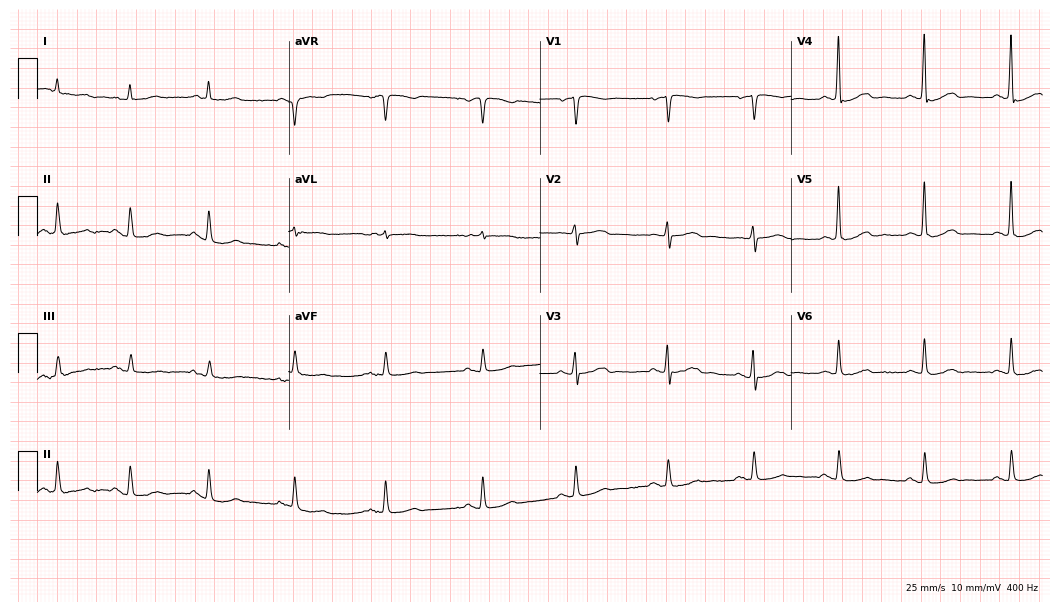
12-lead ECG from a male, 81 years old. No first-degree AV block, right bundle branch block, left bundle branch block, sinus bradycardia, atrial fibrillation or sinus tachycardia recorded for this tracing. Other findings, if any, are not listed.